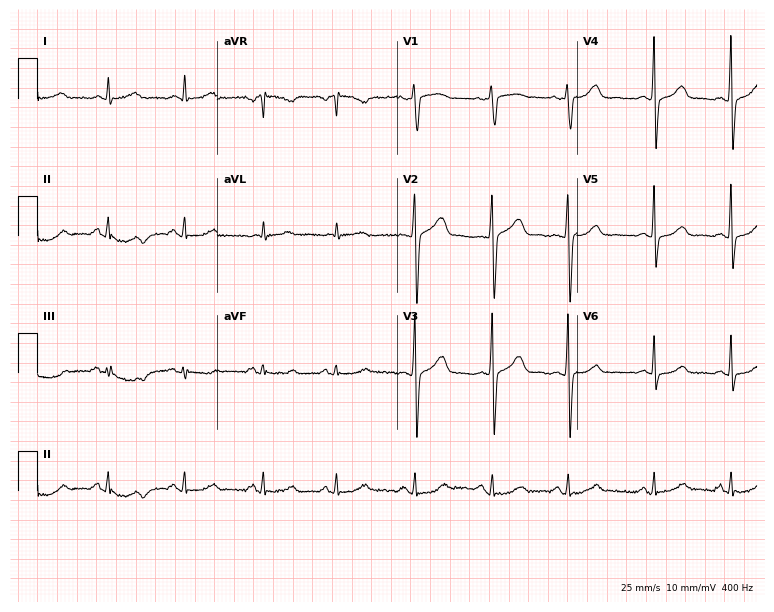
ECG — a 50-year-old female. Labelled as a normal ECG.